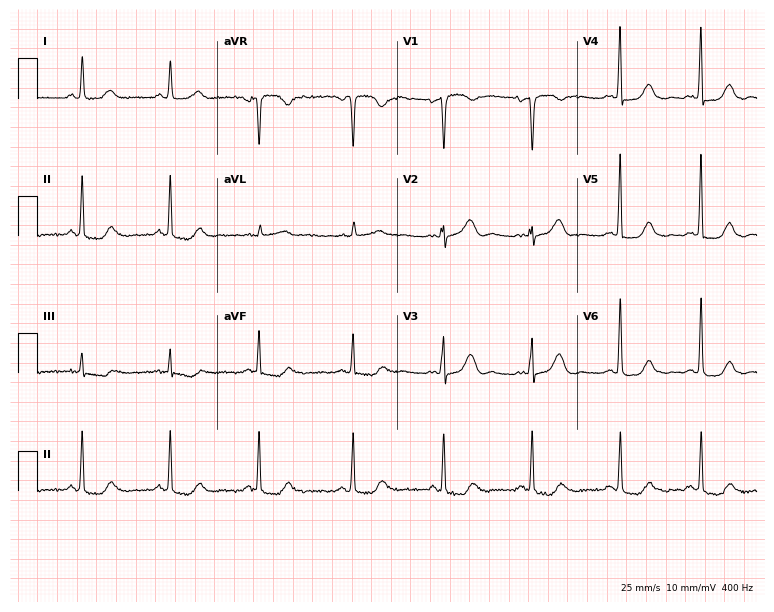
Standard 12-lead ECG recorded from a female patient, 46 years old. None of these six findings is recorded: first-degree AV block, right bundle branch block, left bundle branch block, sinus bradycardia, atrial fibrillation, sinus tachycardia.